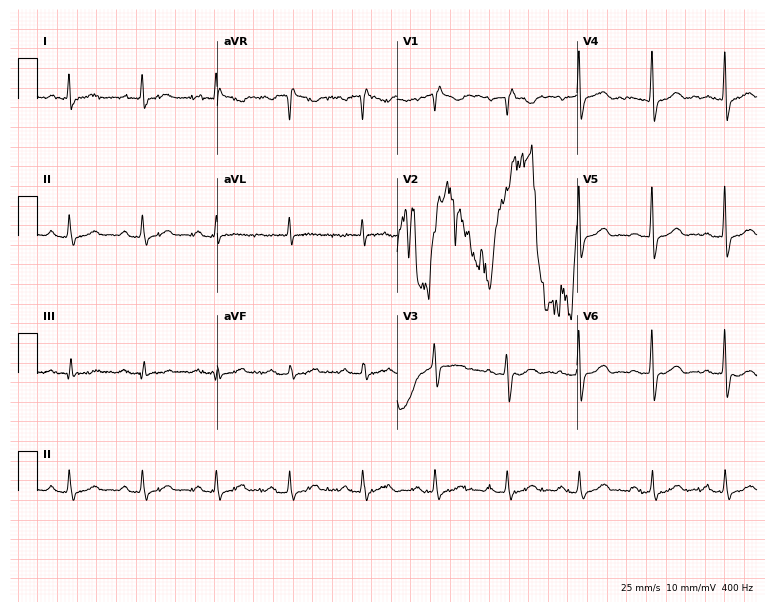
Standard 12-lead ECG recorded from a 70-year-old female patient. None of these six findings is recorded: first-degree AV block, right bundle branch block, left bundle branch block, sinus bradycardia, atrial fibrillation, sinus tachycardia. Other findings, if any, are not listed.